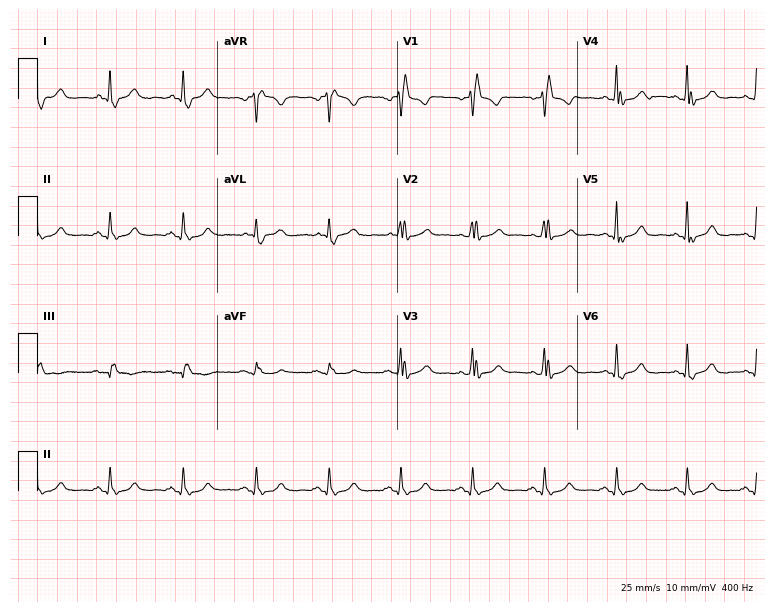
12-lead ECG (7.3-second recording at 400 Hz) from a 61-year-old male patient. Screened for six findings — first-degree AV block, right bundle branch block, left bundle branch block, sinus bradycardia, atrial fibrillation, sinus tachycardia — none is recorded.